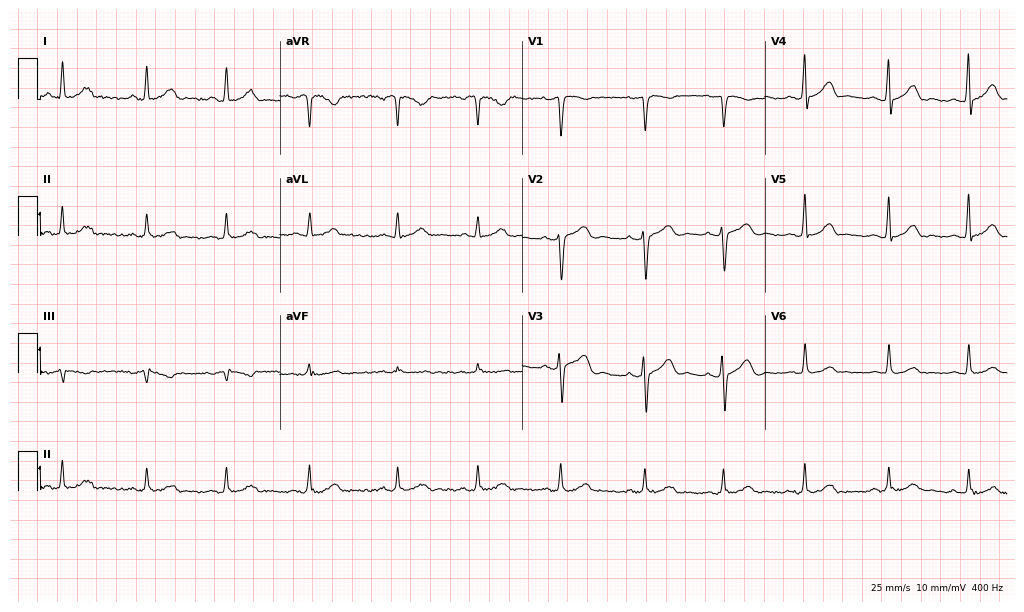
Electrocardiogram, a woman, 44 years old. Of the six screened findings (first-degree AV block, right bundle branch block, left bundle branch block, sinus bradycardia, atrial fibrillation, sinus tachycardia), none is recorded. Other findings, if any, are not listed.